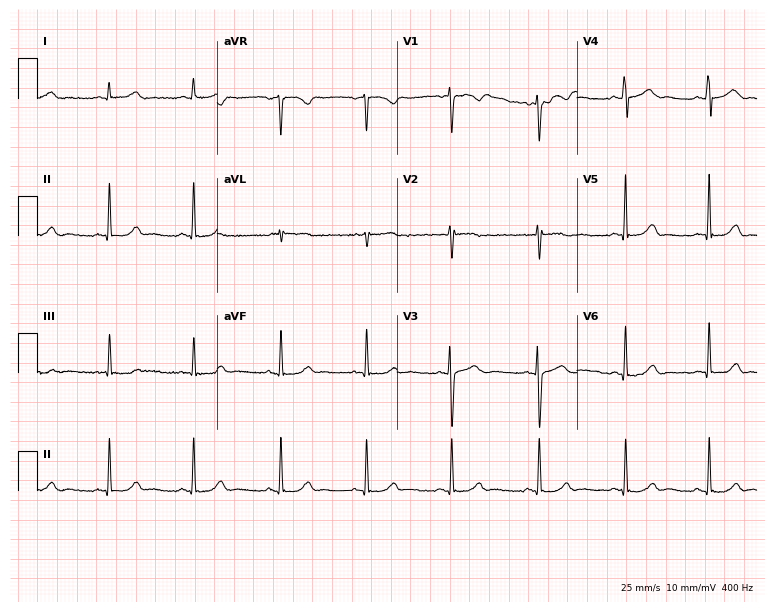
Standard 12-lead ECG recorded from a 26-year-old female (7.3-second recording at 400 Hz). Read as a normal ECG.